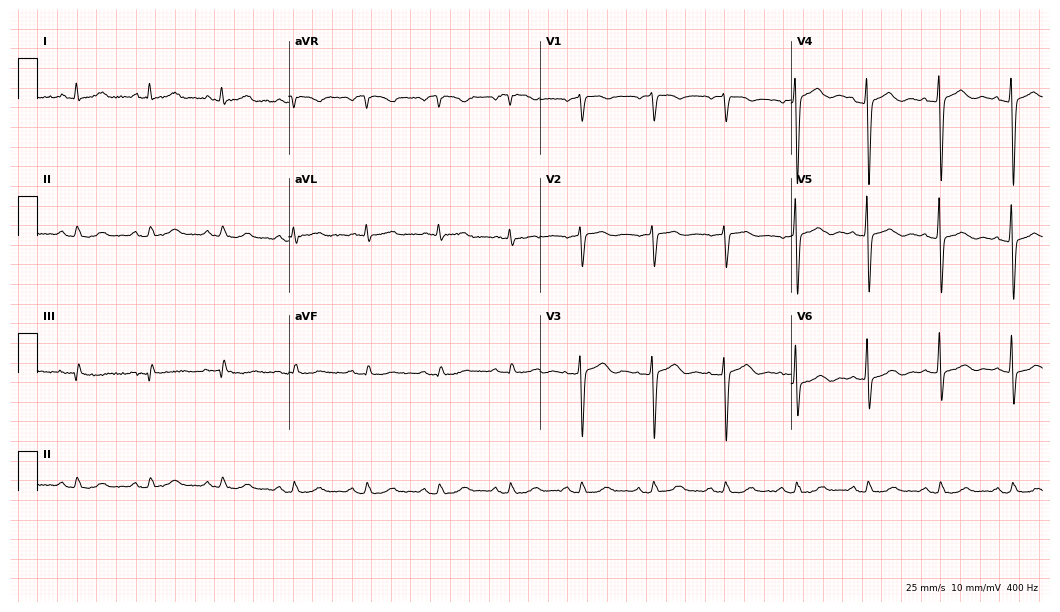
Resting 12-lead electrocardiogram. Patient: a female, 79 years old. None of these six findings is recorded: first-degree AV block, right bundle branch block, left bundle branch block, sinus bradycardia, atrial fibrillation, sinus tachycardia. Only these six findings were labelled.